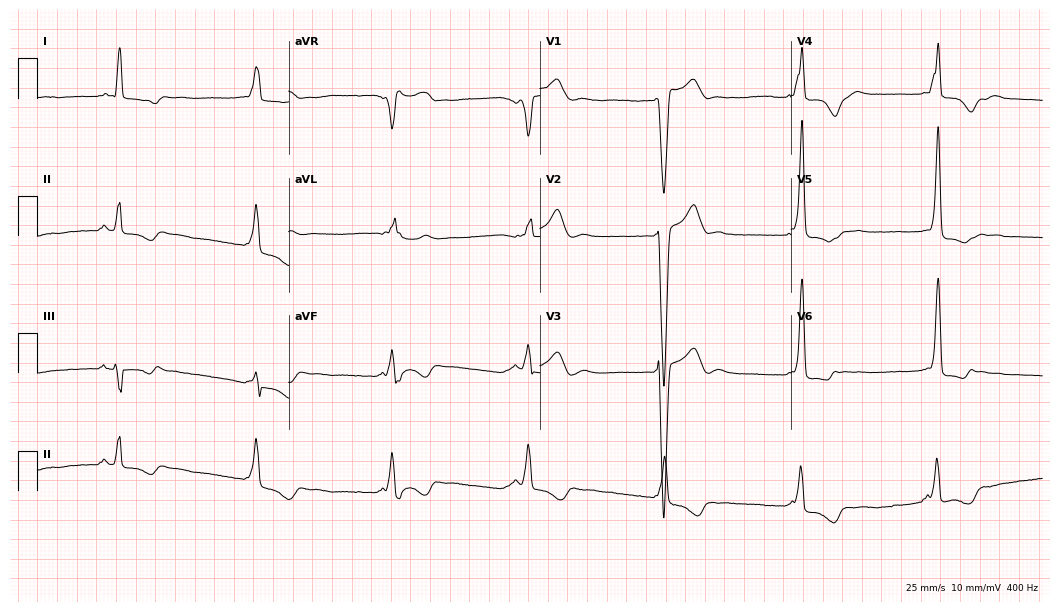
12-lead ECG from a male, 31 years old. No first-degree AV block, right bundle branch block, left bundle branch block, sinus bradycardia, atrial fibrillation or sinus tachycardia recorded for this tracing. Findings outside these six are not listed.